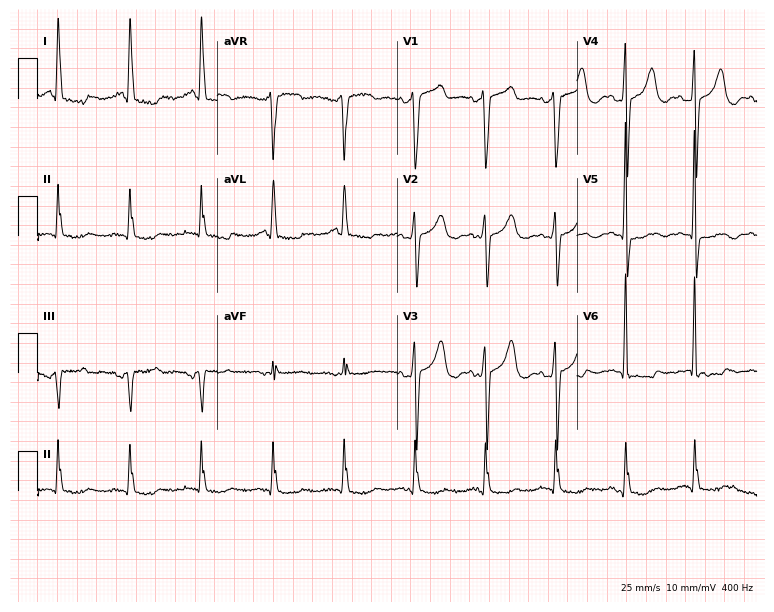
Resting 12-lead electrocardiogram. Patient: an 81-year-old female. None of these six findings is recorded: first-degree AV block, right bundle branch block, left bundle branch block, sinus bradycardia, atrial fibrillation, sinus tachycardia.